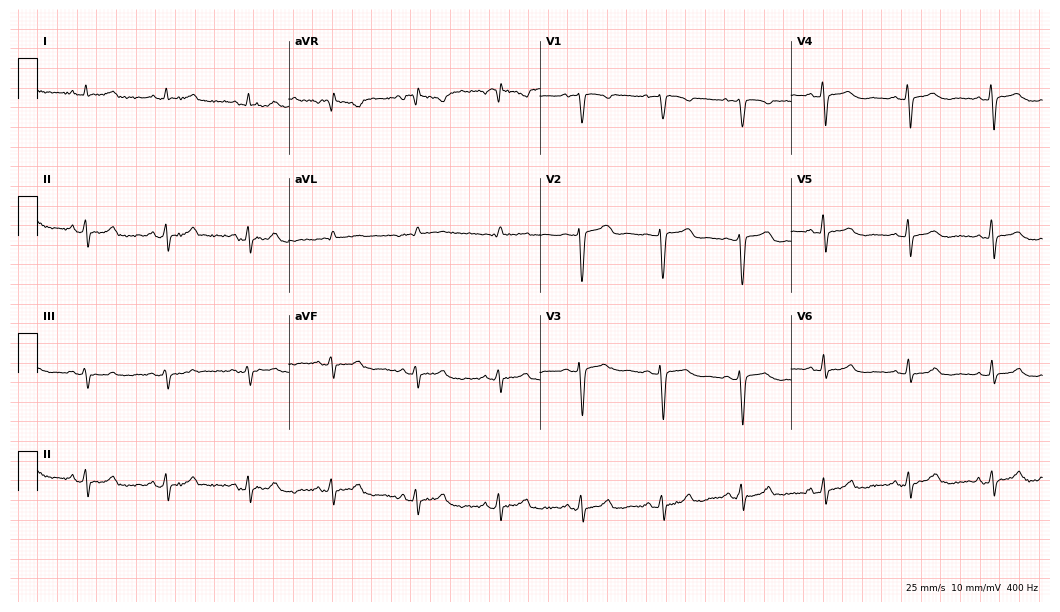
Standard 12-lead ECG recorded from a woman, 49 years old. None of these six findings is recorded: first-degree AV block, right bundle branch block (RBBB), left bundle branch block (LBBB), sinus bradycardia, atrial fibrillation (AF), sinus tachycardia.